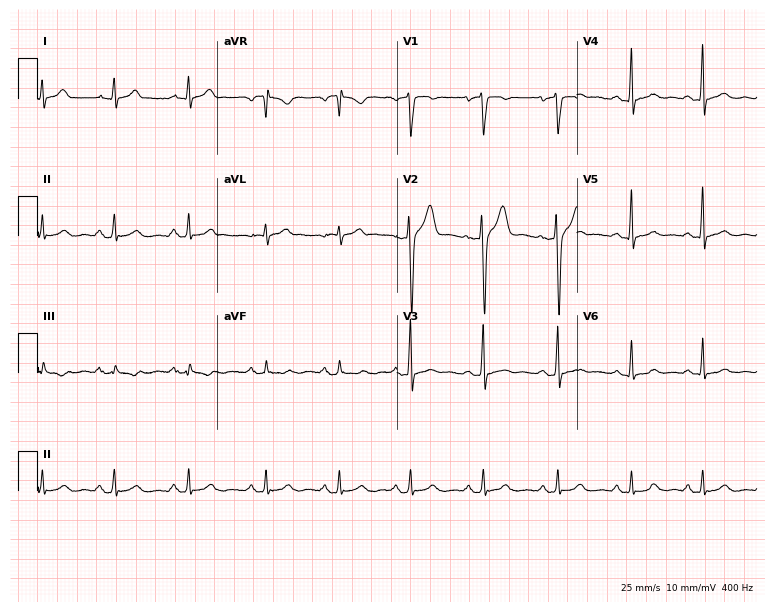
Electrocardiogram (7.3-second recording at 400 Hz), a 28-year-old male. Overall reading on record: normal ECG.